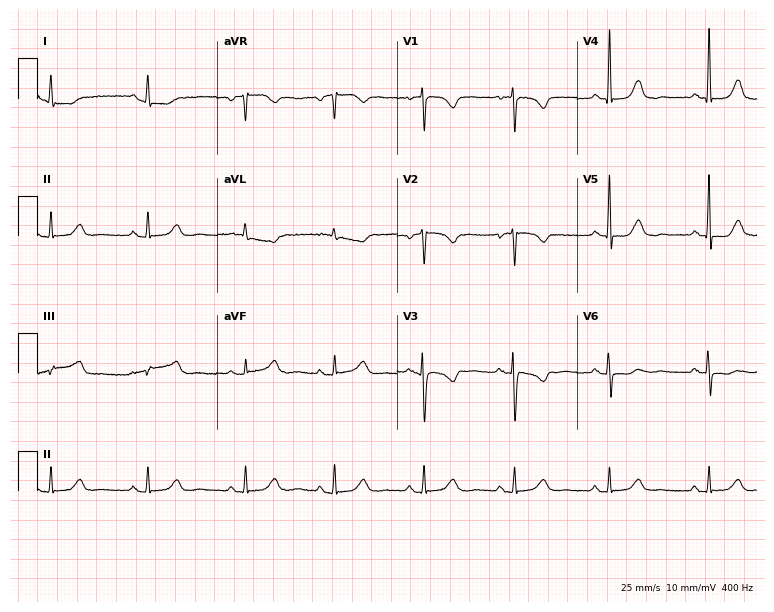
Resting 12-lead electrocardiogram. Patient: a 55-year-old female. None of these six findings is recorded: first-degree AV block, right bundle branch block, left bundle branch block, sinus bradycardia, atrial fibrillation, sinus tachycardia. Findings outside these six are not listed.